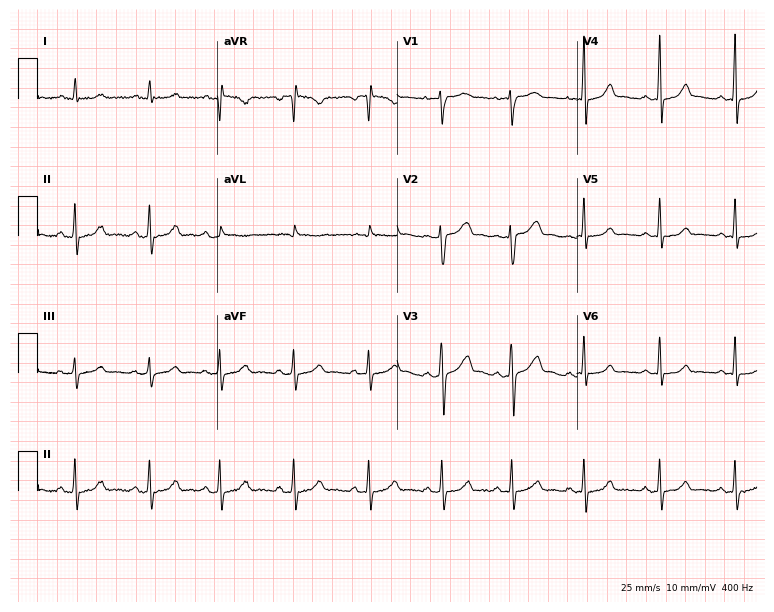
12-lead ECG from a 29-year-old female. Screened for six findings — first-degree AV block, right bundle branch block, left bundle branch block, sinus bradycardia, atrial fibrillation, sinus tachycardia — none is recorded. Findings outside these six are not listed.